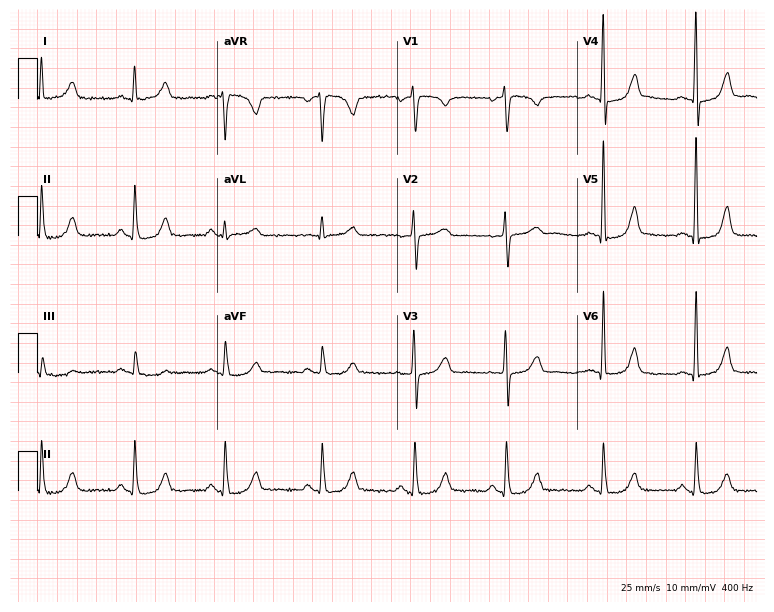
Resting 12-lead electrocardiogram (7.3-second recording at 400 Hz). Patient: a female, 56 years old. Read as a normal ECG.